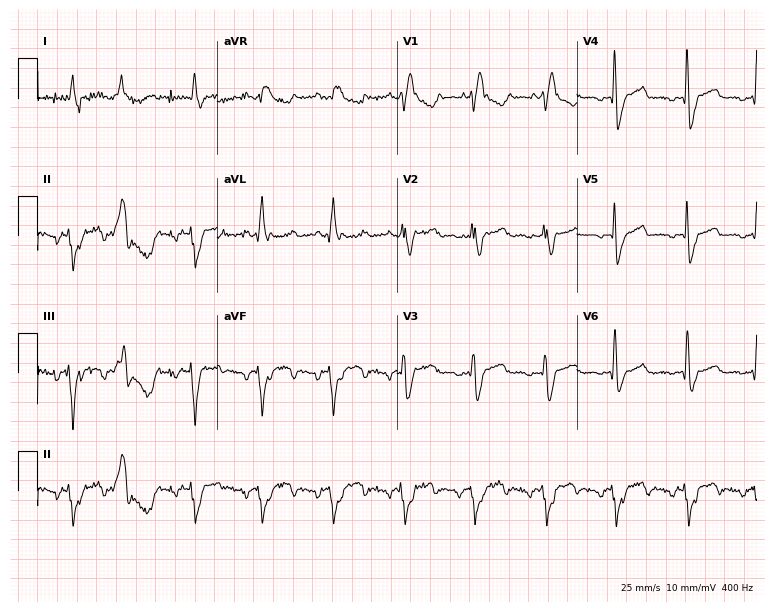
Electrocardiogram, a 44-year-old male. Of the six screened findings (first-degree AV block, right bundle branch block, left bundle branch block, sinus bradycardia, atrial fibrillation, sinus tachycardia), none is recorded.